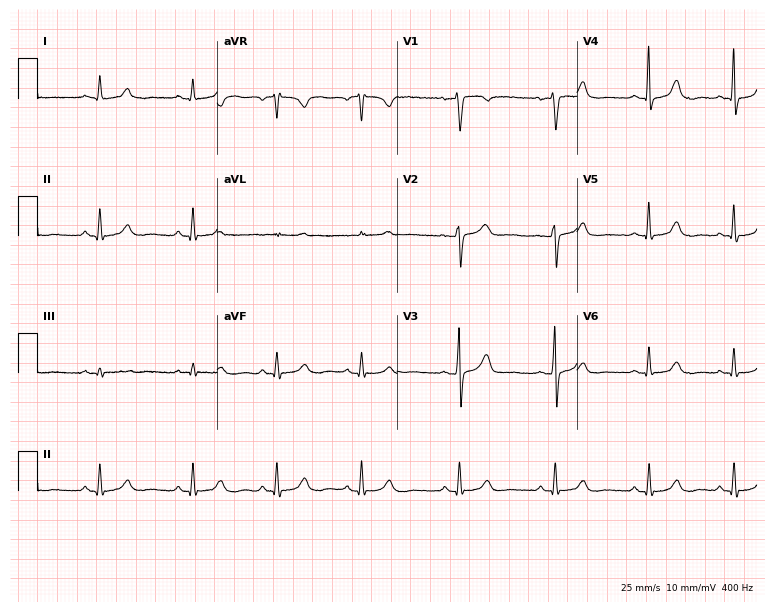
Electrocardiogram, a woman, 41 years old. Of the six screened findings (first-degree AV block, right bundle branch block, left bundle branch block, sinus bradycardia, atrial fibrillation, sinus tachycardia), none is recorded.